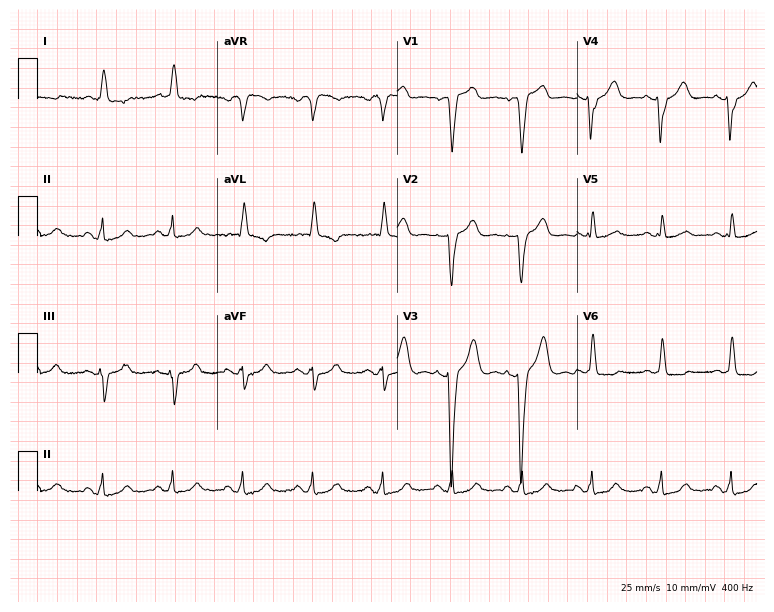
Electrocardiogram (7.3-second recording at 400 Hz), a male patient, 84 years old. Of the six screened findings (first-degree AV block, right bundle branch block (RBBB), left bundle branch block (LBBB), sinus bradycardia, atrial fibrillation (AF), sinus tachycardia), none is recorded.